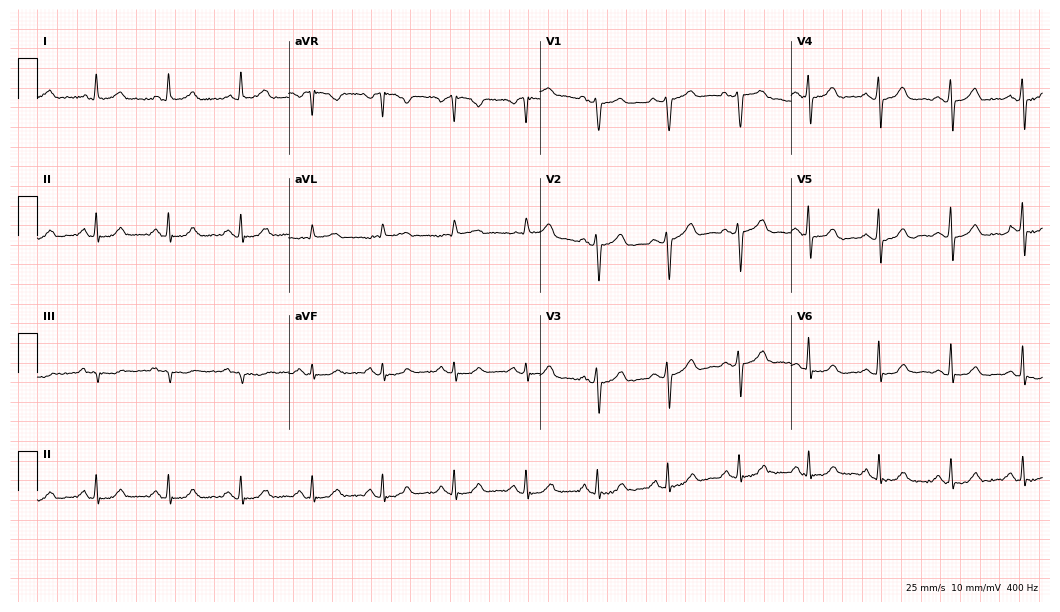
12-lead ECG (10.2-second recording at 400 Hz) from a 67-year-old male patient. Labelled as a normal ECG.